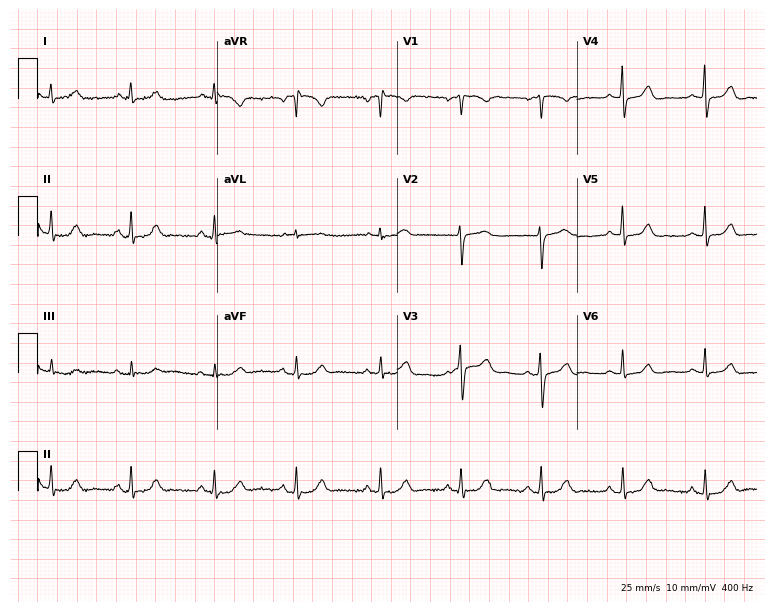
12-lead ECG from a woman, 44 years old (7.3-second recording at 400 Hz). Recorded interpretation: within normal limits.